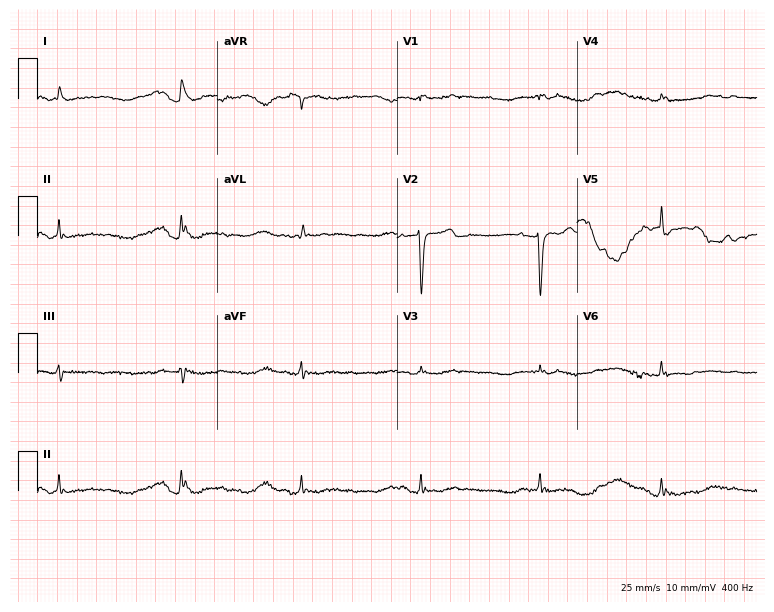
Standard 12-lead ECG recorded from a 45-year-old woman (7.3-second recording at 400 Hz). None of these six findings is recorded: first-degree AV block, right bundle branch block (RBBB), left bundle branch block (LBBB), sinus bradycardia, atrial fibrillation (AF), sinus tachycardia.